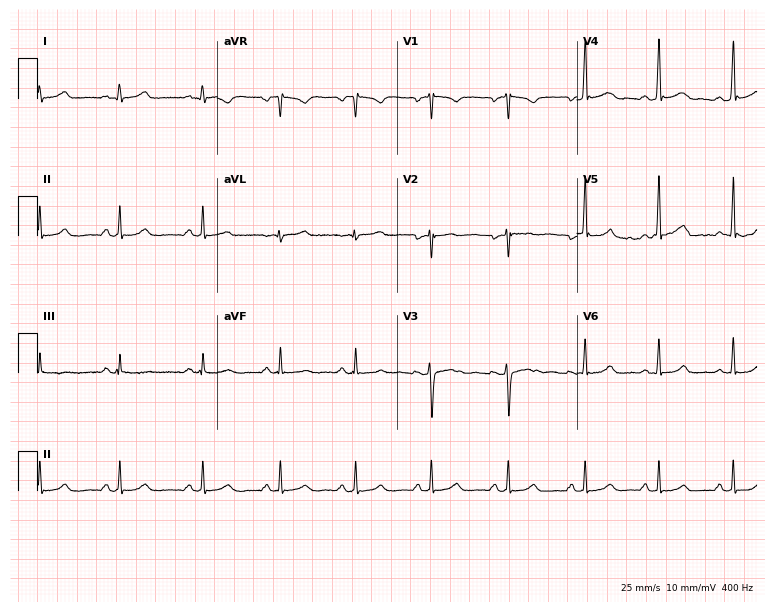
Standard 12-lead ECG recorded from a female, 22 years old. None of these six findings is recorded: first-degree AV block, right bundle branch block, left bundle branch block, sinus bradycardia, atrial fibrillation, sinus tachycardia. Other findings, if any, are not listed.